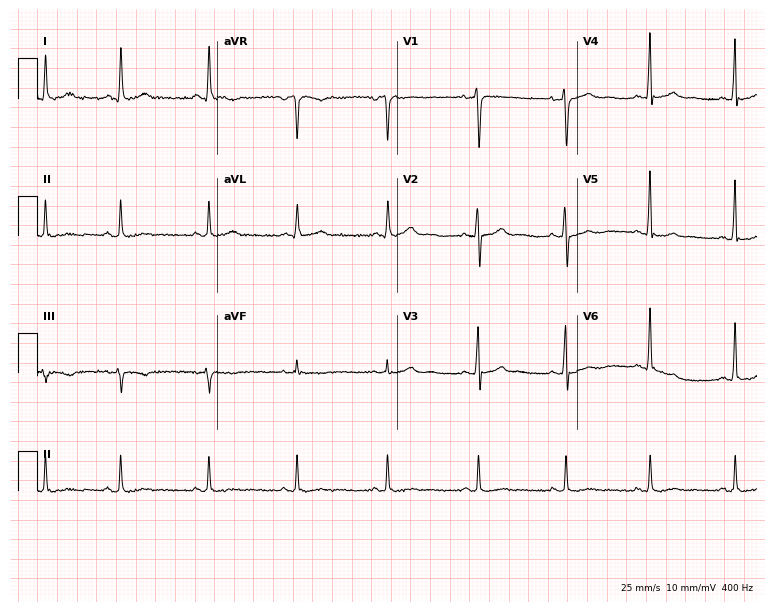
Resting 12-lead electrocardiogram (7.3-second recording at 400 Hz). Patient: a 41-year-old male. None of these six findings is recorded: first-degree AV block, right bundle branch block (RBBB), left bundle branch block (LBBB), sinus bradycardia, atrial fibrillation (AF), sinus tachycardia.